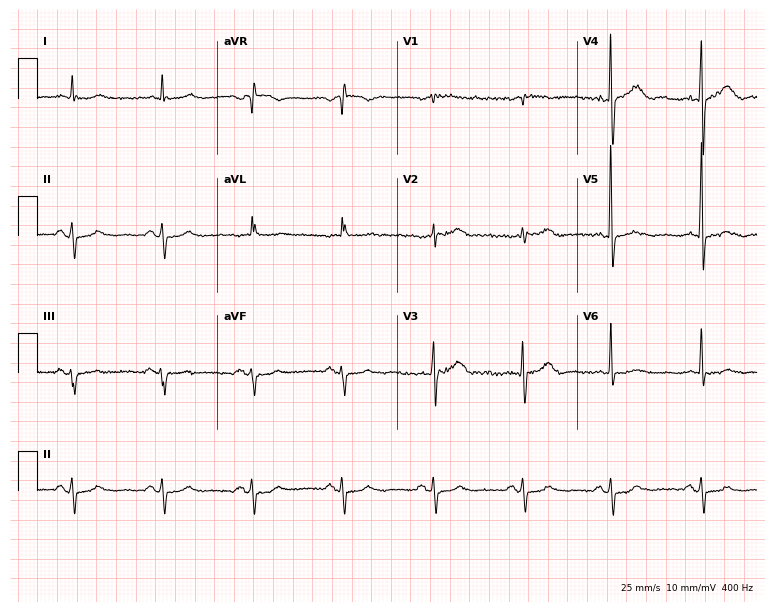
Resting 12-lead electrocardiogram (7.3-second recording at 400 Hz). Patient: an 81-year-old male. None of these six findings is recorded: first-degree AV block, right bundle branch block, left bundle branch block, sinus bradycardia, atrial fibrillation, sinus tachycardia.